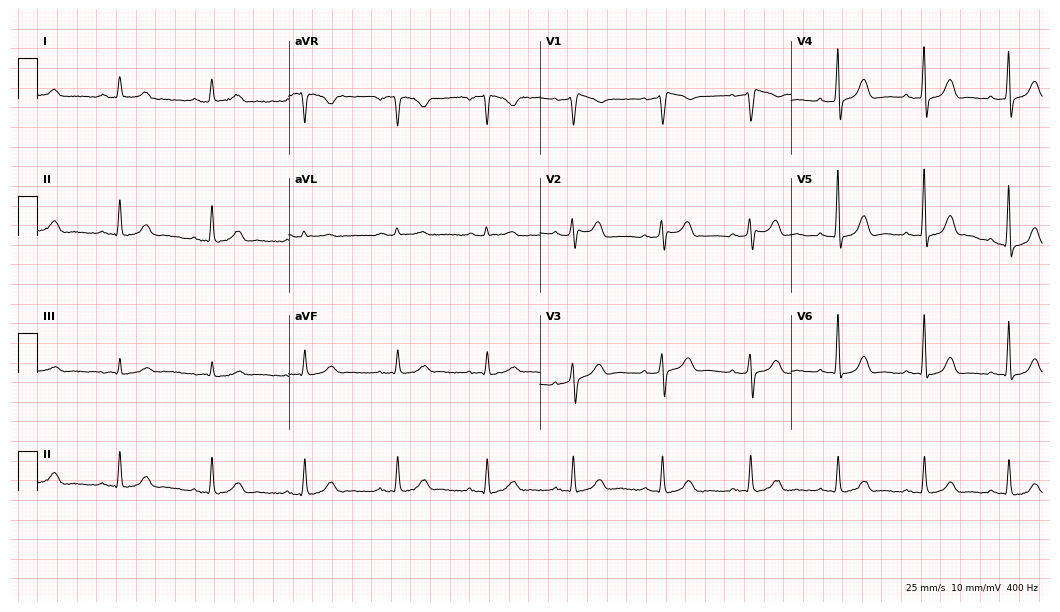
12-lead ECG (10.2-second recording at 400 Hz) from a 73-year-old male. Labelled as a normal ECG.